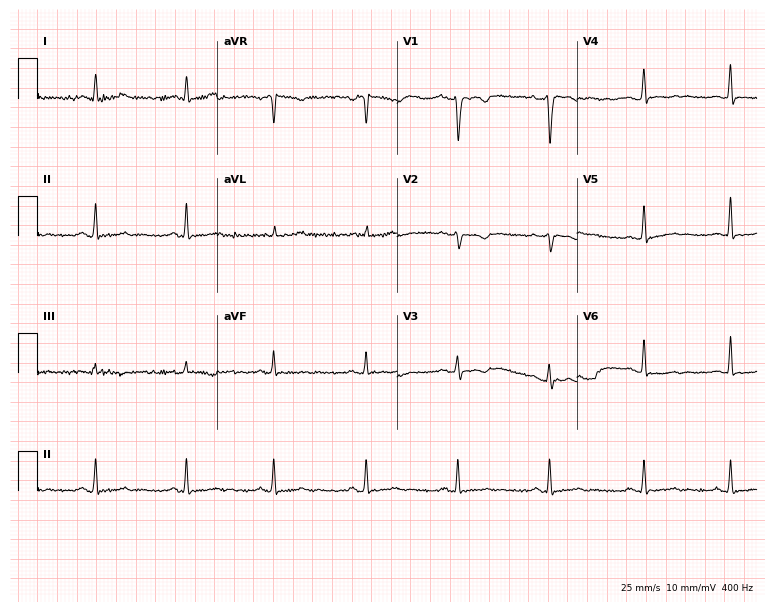
Electrocardiogram (7.3-second recording at 400 Hz), a 39-year-old female. Of the six screened findings (first-degree AV block, right bundle branch block, left bundle branch block, sinus bradycardia, atrial fibrillation, sinus tachycardia), none is recorded. Only these six findings were labelled.